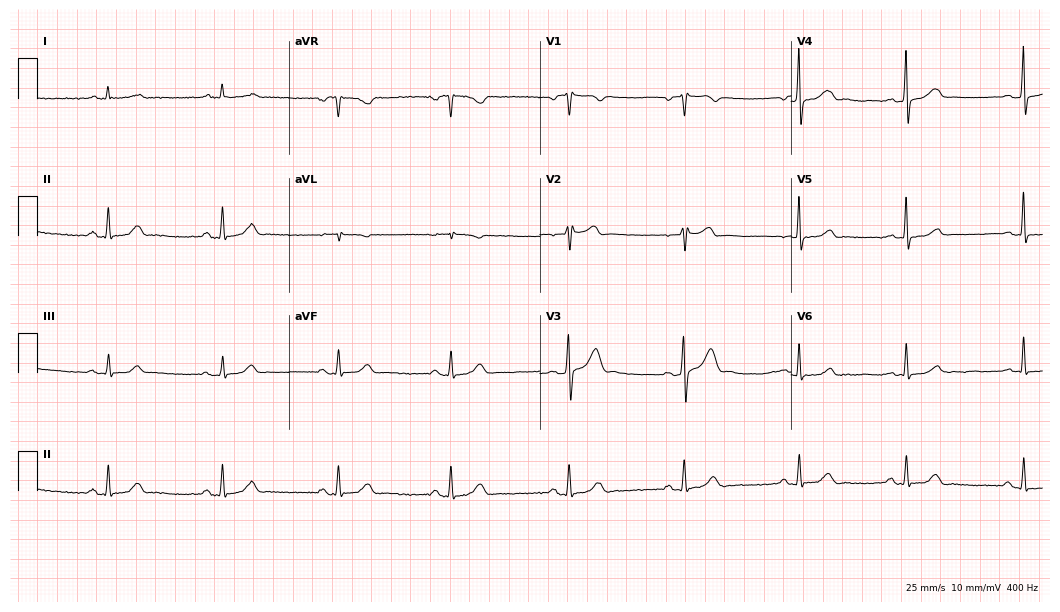
ECG — a 43-year-old male patient. Screened for six findings — first-degree AV block, right bundle branch block, left bundle branch block, sinus bradycardia, atrial fibrillation, sinus tachycardia — none is recorded.